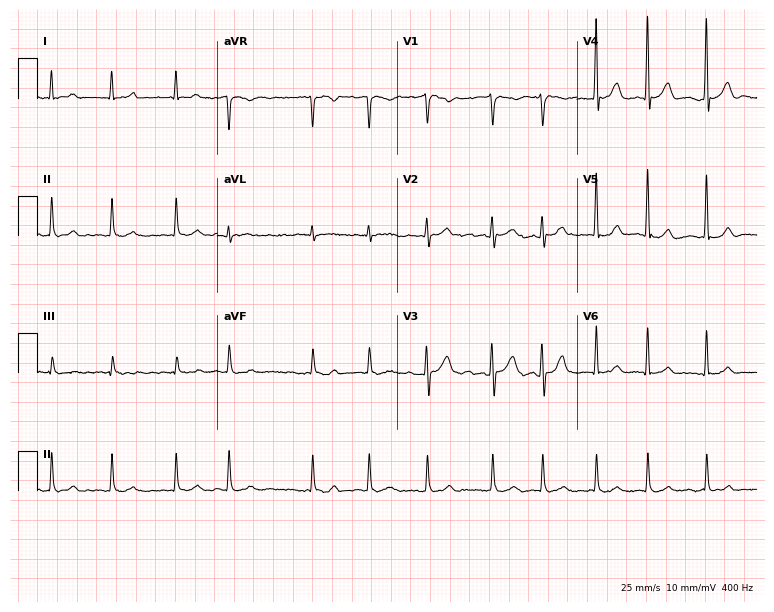
12-lead ECG from an 82-year-old man (7.3-second recording at 400 Hz). Shows atrial fibrillation.